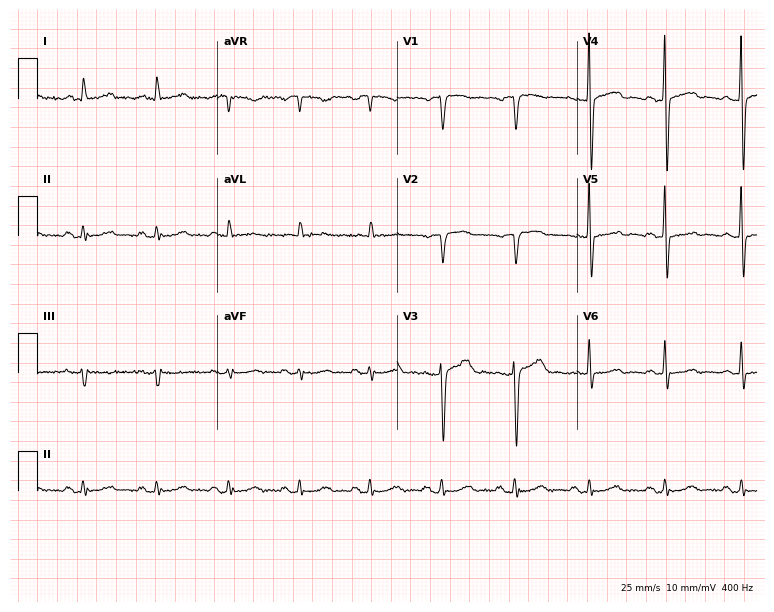
Electrocardiogram (7.3-second recording at 400 Hz), a male, 52 years old. Of the six screened findings (first-degree AV block, right bundle branch block (RBBB), left bundle branch block (LBBB), sinus bradycardia, atrial fibrillation (AF), sinus tachycardia), none is recorded.